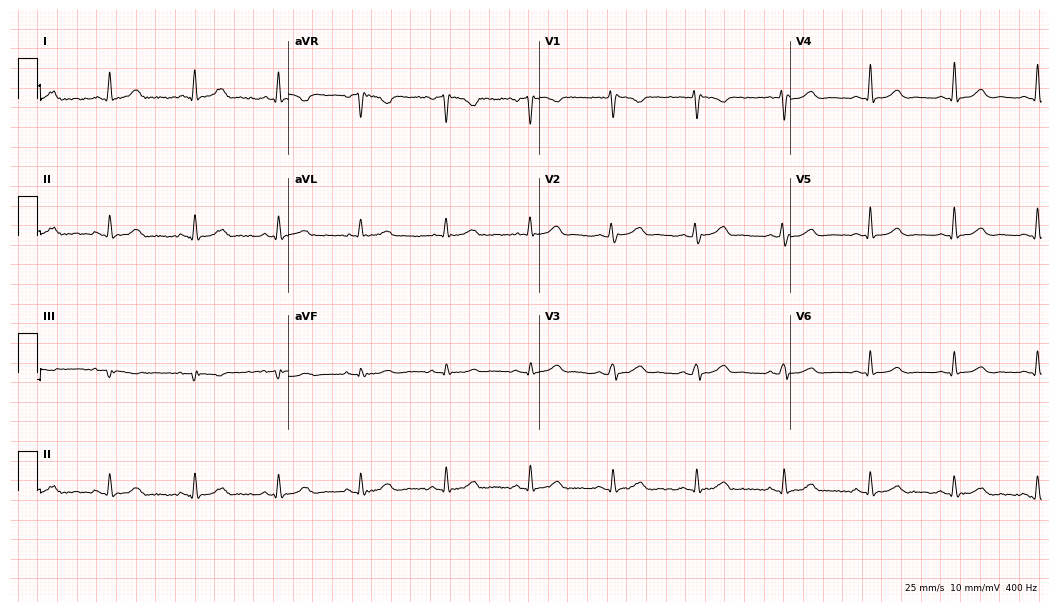
ECG — a female patient, 52 years old. Screened for six findings — first-degree AV block, right bundle branch block, left bundle branch block, sinus bradycardia, atrial fibrillation, sinus tachycardia — none is recorded.